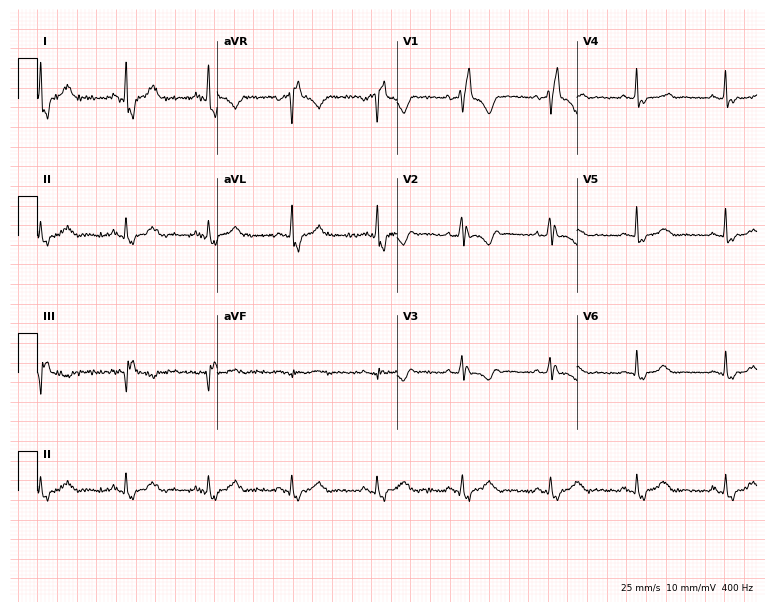
Electrocardiogram, a woman, 48 years old. Interpretation includes right bundle branch block.